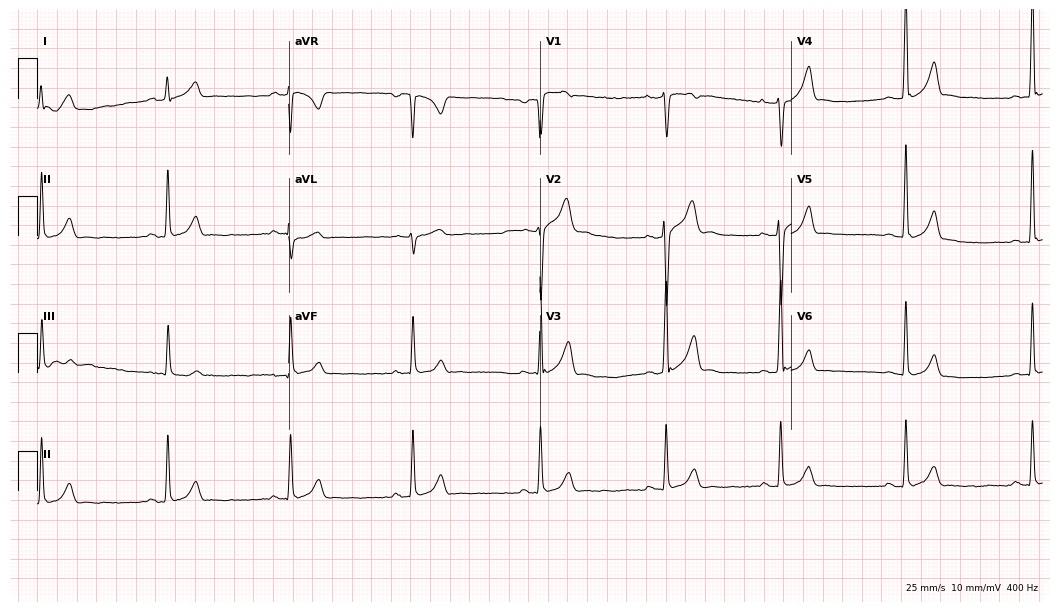
Standard 12-lead ECG recorded from a male patient, 20 years old. None of these six findings is recorded: first-degree AV block, right bundle branch block, left bundle branch block, sinus bradycardia, atrial fibrillation, sinus tachycardia.